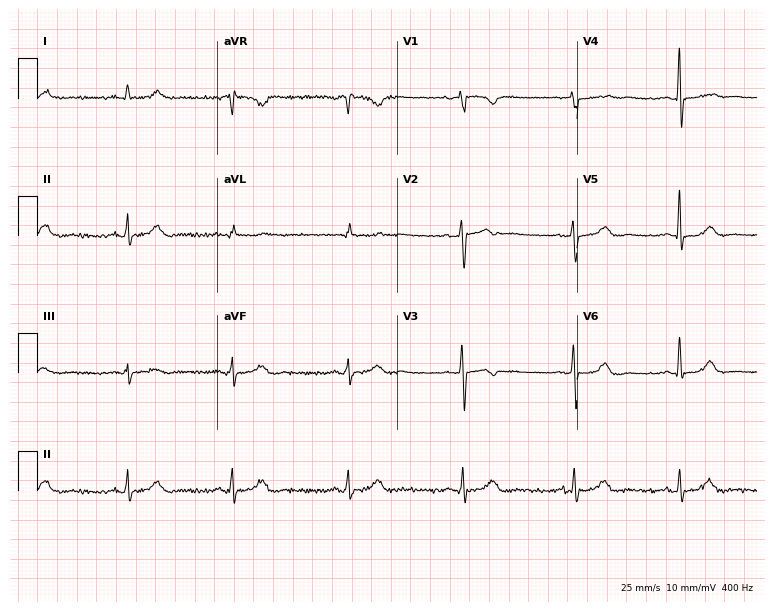
Standard 12-lead ECG recorded from a 45-year-old female patient (7.3-second recording at 400 Hz). Read as a normal ECG.